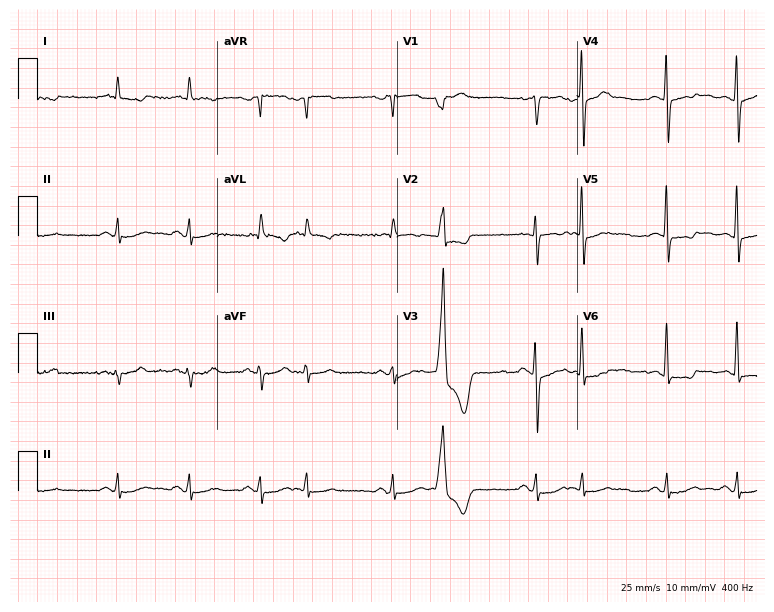
Standard 12-lead ECG recorded from a man, 70 years old. None of these six findings is recorded: first-degree AV block, right bundle branch block, left bundle branch block, sinus bradycardia, atrial fibrillation, sinus tachycardia.